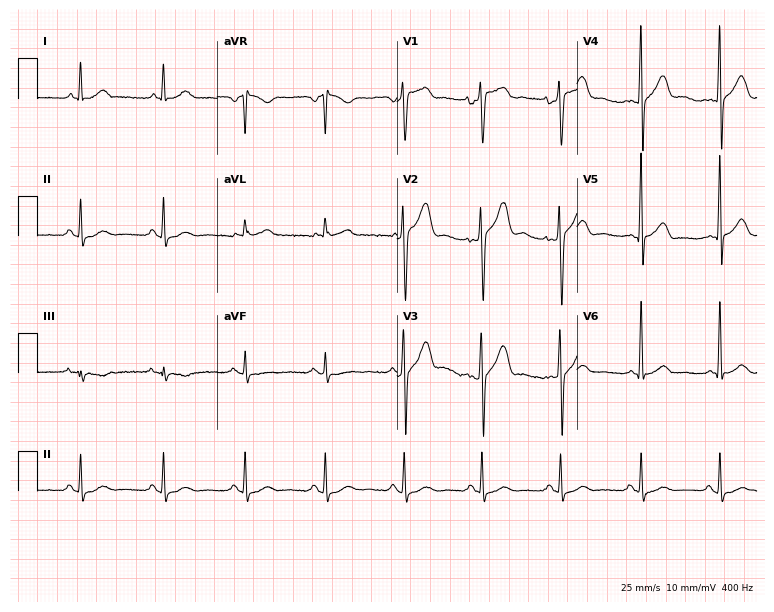
ECG — a 44-year-old man. Labelled as a normal ECG.